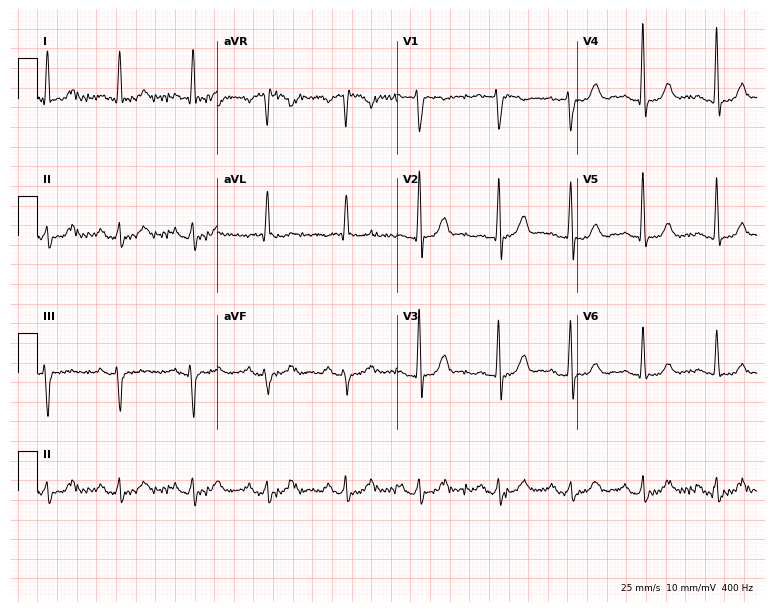
ECG — a man, 65 years old. Labelled as a normal ECG.